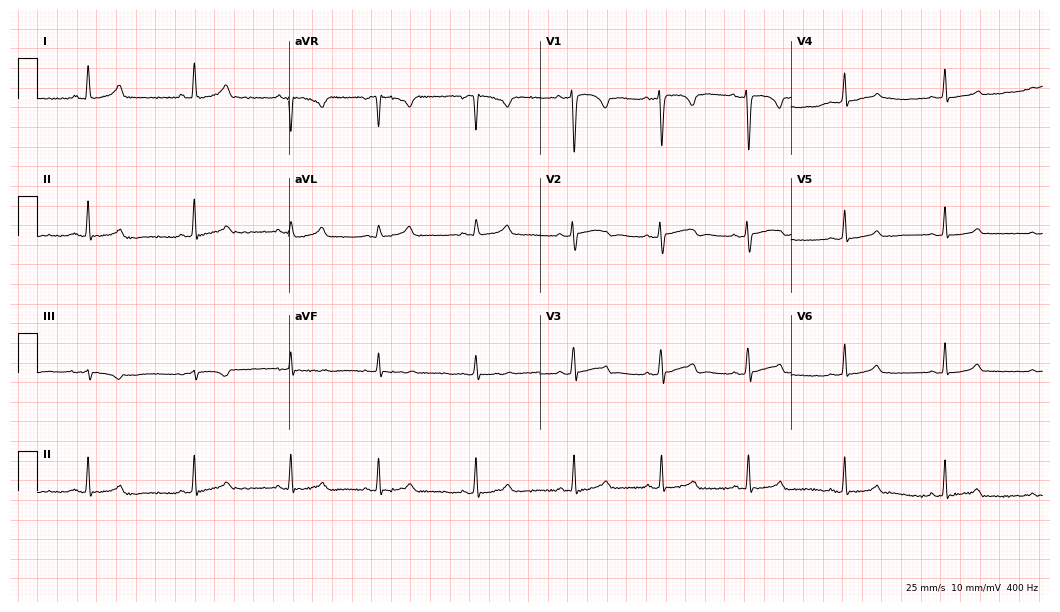
12-lead ECG from an 18-year-old female patient. Labelled as a normal ECG.